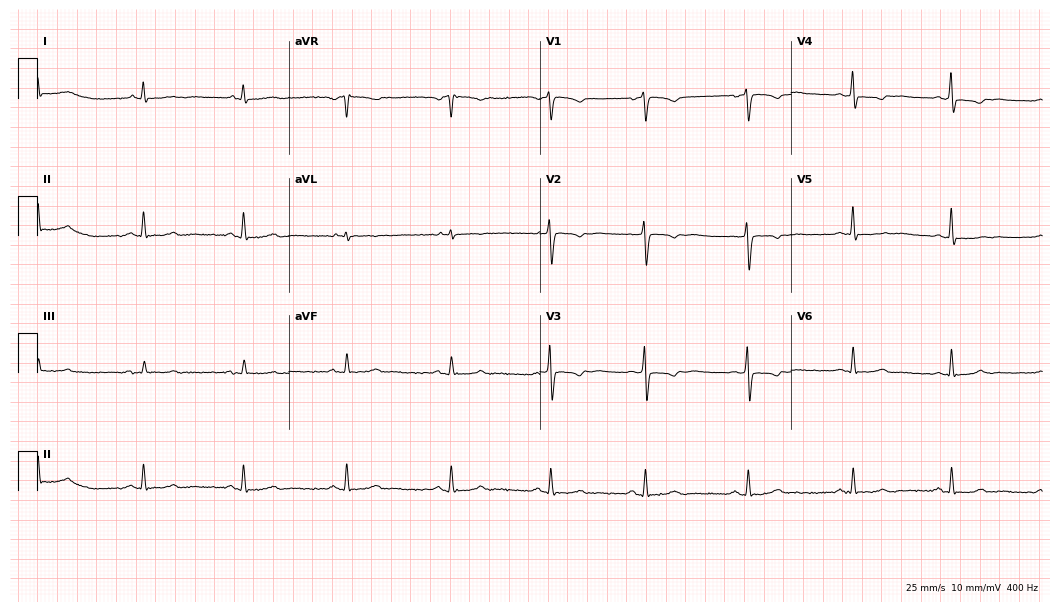
Resting 12-lead electrocardiogram (10.2-second recording at 400 Hz). Patient: a woman, 40 years old. None of these six findings is recorded: first-degree AV block, right bundle branch block (RBBB), left bundle branch block (LBBB), sinus bradycardia, atrial fibrillation (AF), sinus tachycardia. Findings outside these six are not listed.